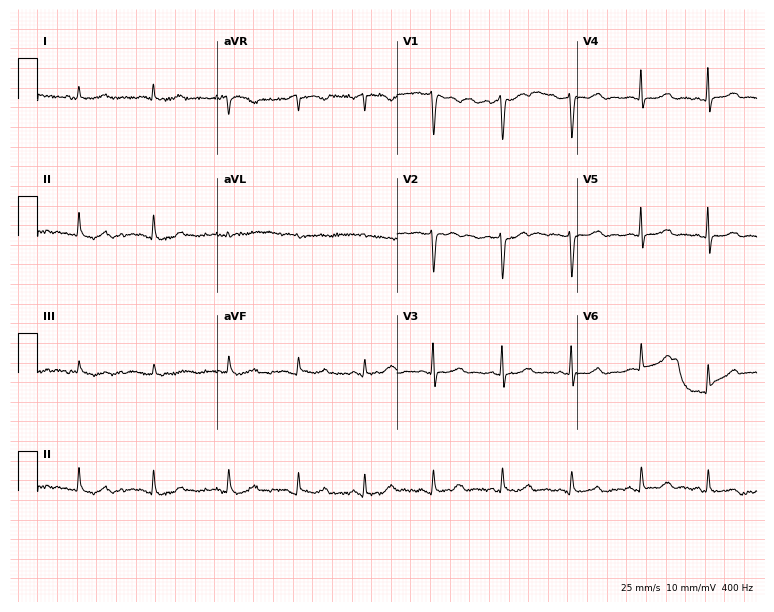
Resting 12-lead electrocardiogram (7.3-second recording at 400 Hz). Patient: a 39-year-old female. None of these six findings is recorded: first-degree AV block, right bundle branch block (RBBB), left bundle branch block (LBBB), sinus bradycardia, atrial fibrillation (AF), sinus tachycardia.